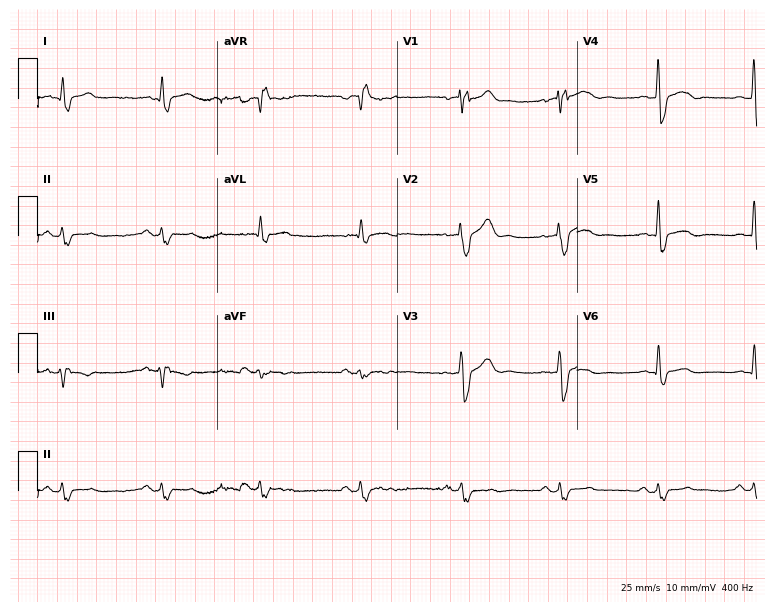
Standard 12-lead ECG recorded from a male patient, 55 years old. The tracing shows right bundle branch block.